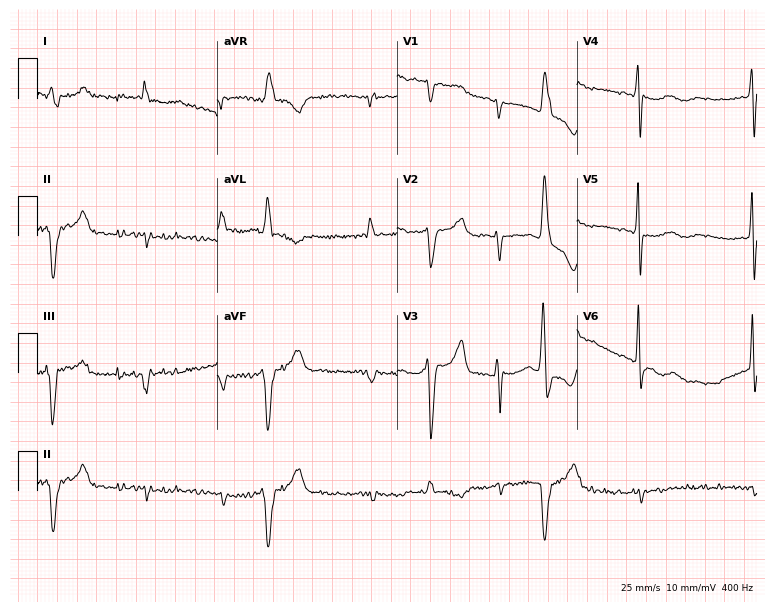
12-lead ECG from an 81-year-old female. Shows atrial fibrillation.